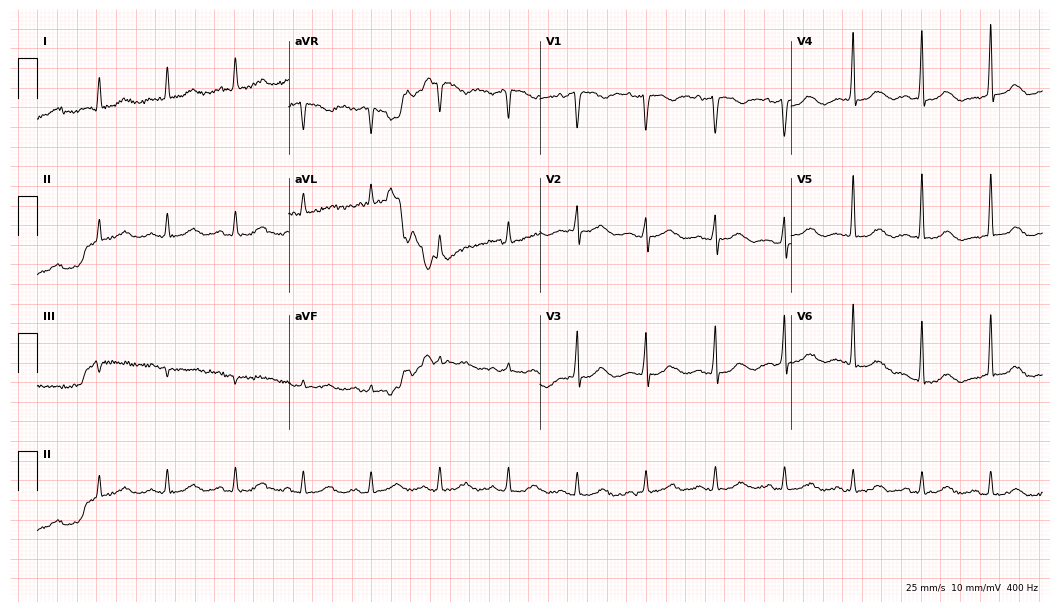
Standard 12-lead ECG recorded from an 82-year-old male patient. Read as a normal ECG.